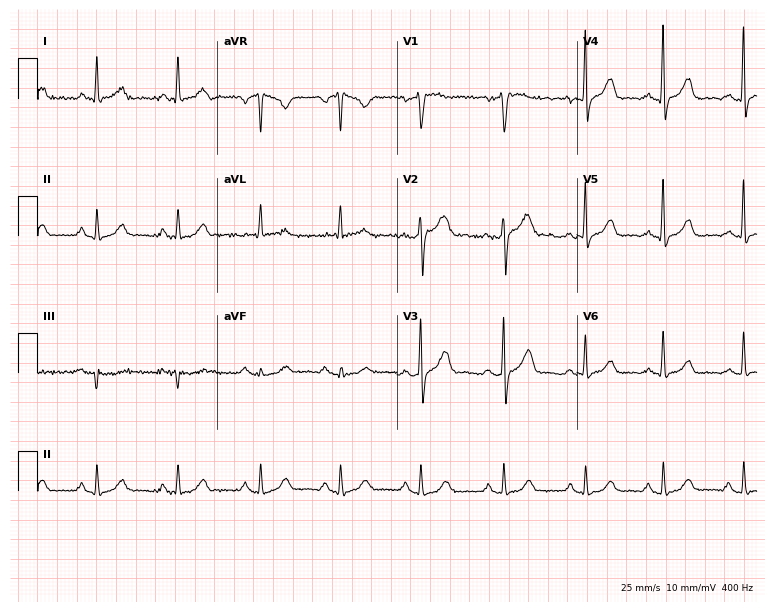
Standard 12-lead ECG recorded from a male patient, 59 years old. None of these six findings is recorded: first-degree AV block, right bundle branch block, left bundle branch block, sinus bradycardia, atrial fibrillation, sinus tachycardia.